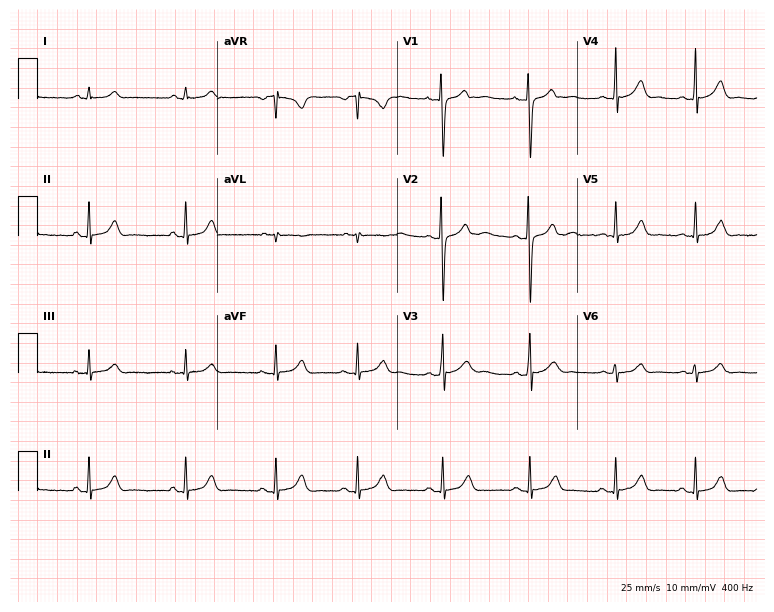
Resting 12-lead electrocardiogram. Patient: a female, 19 years old. Read as a normal ECG.